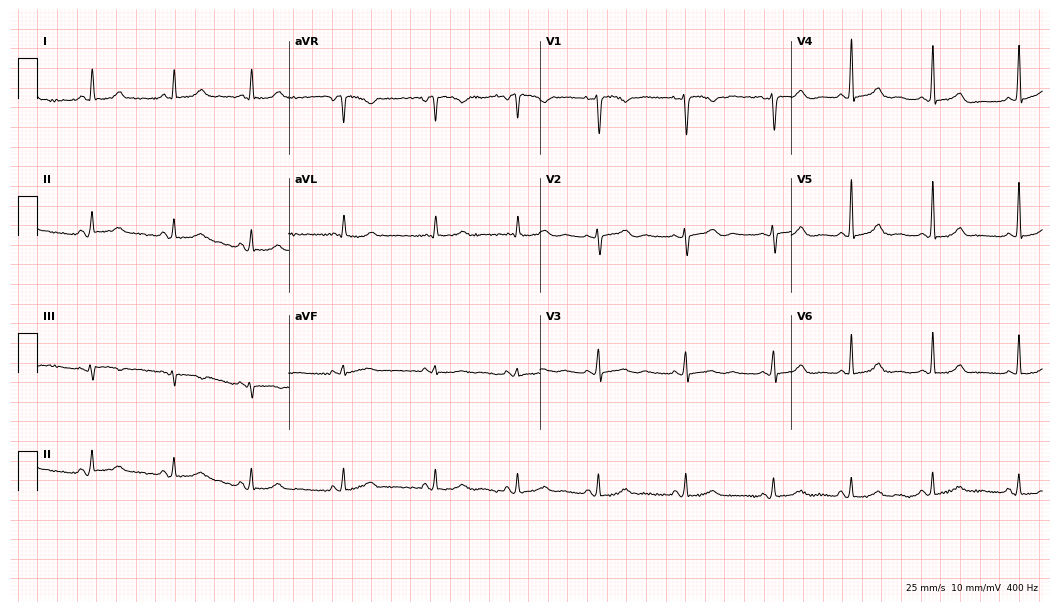
Standard 12-lead ECG recorded from a female patient, 32 years old (10.2-second recording at 400 Hz). Read as a normal ECG.